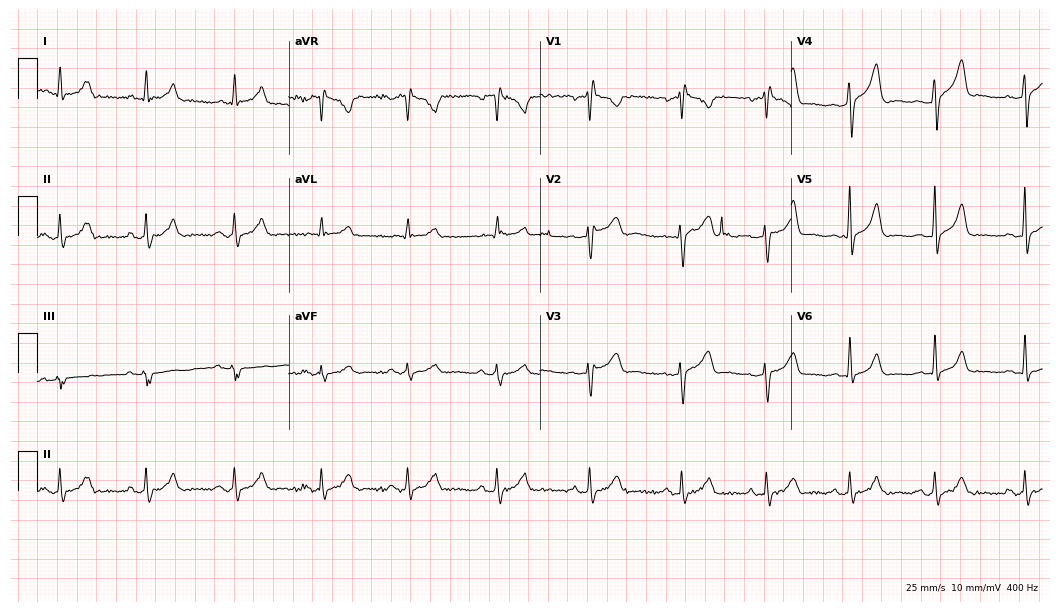
ECG (10.2-second recording at 400 Hz) — a male patient, 30 years old. Labelled as a normal ECG.